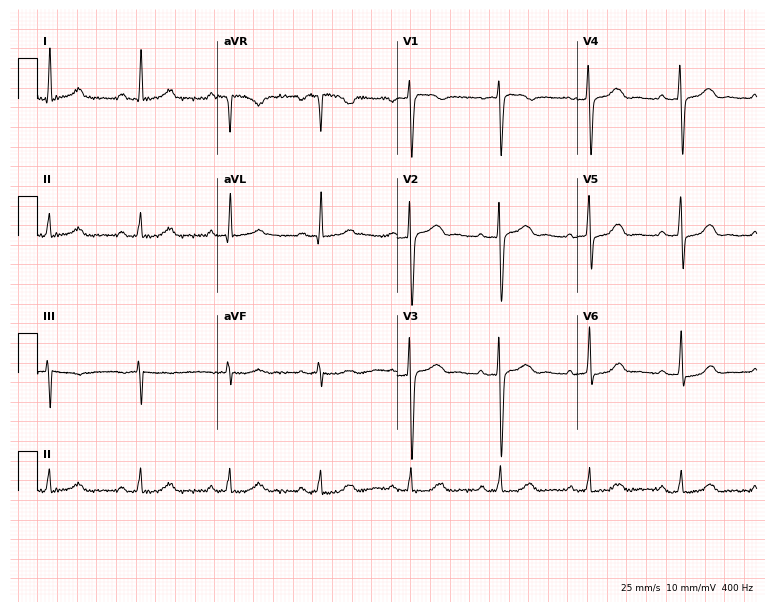
ECG (7.3-second recording at 400 Hz) — a 50-year-old female patient. Labelled as a normal ECG.